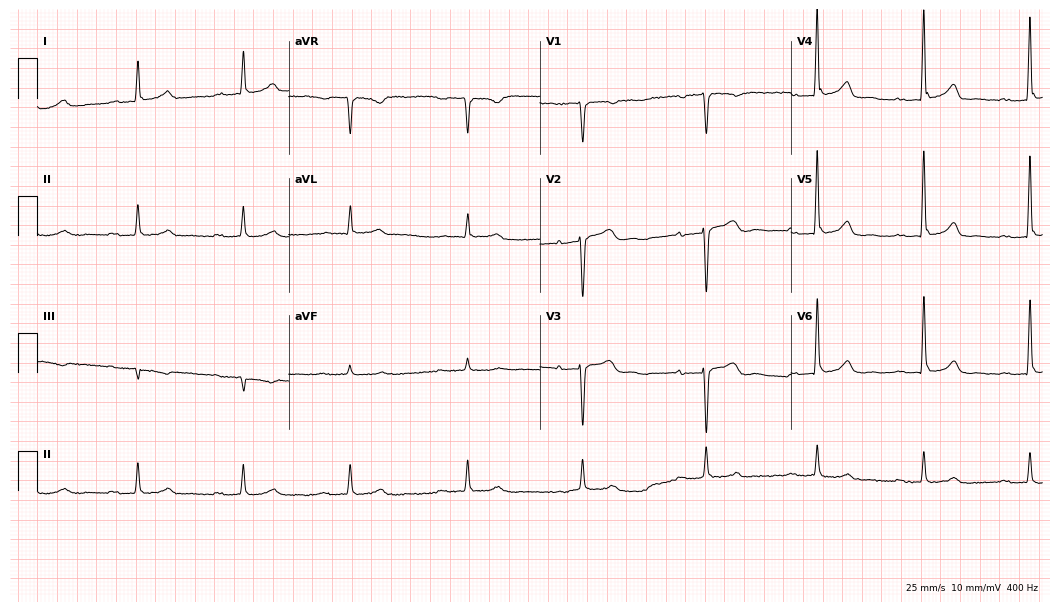
12-lead ECG from a 71-year-old male patient. Findings include first-degree AV block.